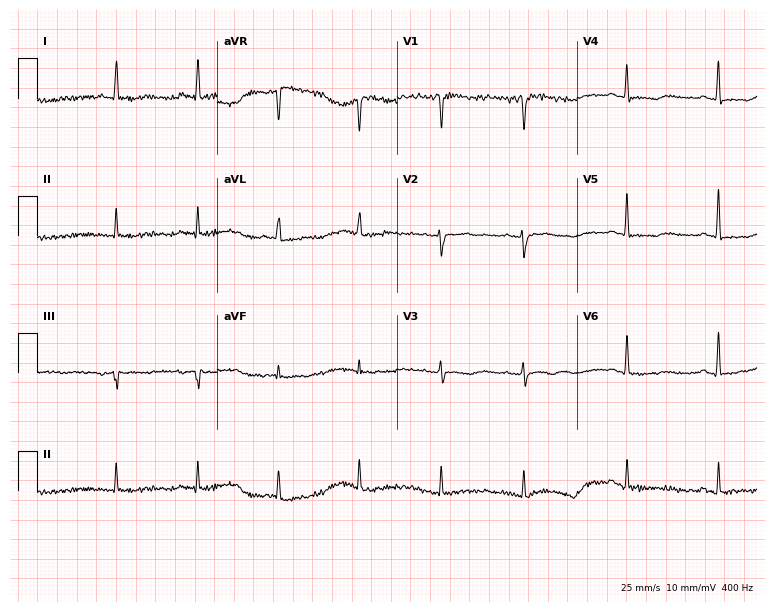
Electrocardiogram, a man, 61 years old. Of the six screened findings (first-degree AV block, right bundle branch block (RBBB), left bundle branch block (LBBB), sinus bradycardia, atrial fibrillation (AF), sinus tachycardia), none is recorded.